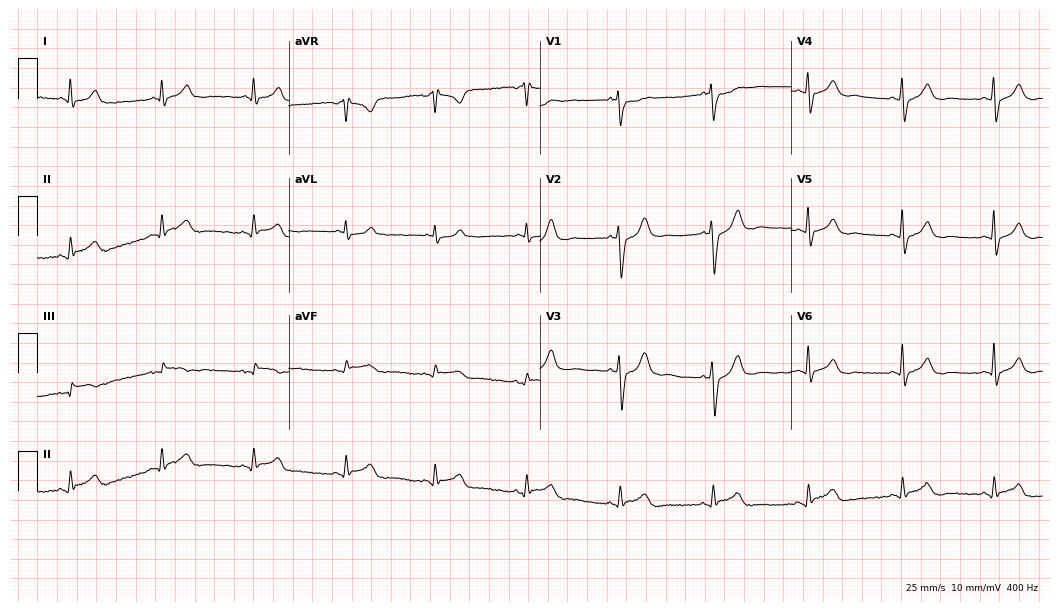
ECG (10.2-second recording at 400 Hz) — a male, 37 years old. Screened for six findings — first-degree AV block, right bundle branch block, left bundle branch block, sinus bradycardia, atrial fibrillation, sinus tachycardia — none is recorded. Findings outside these six are not listed.